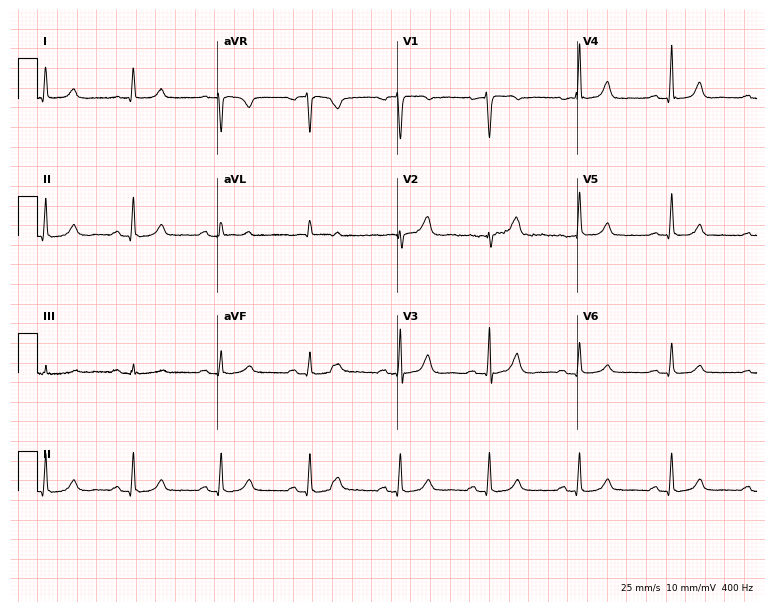
ECG (7.3-second recording at 400 Hz) — a 58-year-old female patient. Labelled as a normal ECG.